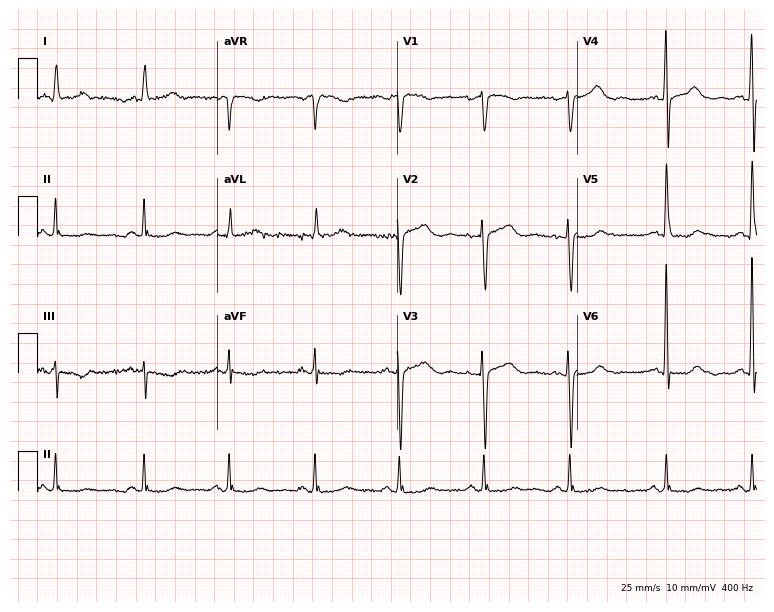
12-lead ECG from a 74-year-old woman. No first-degree AV block, right bundle branch block (RBBB), left bundle branch block (LBBB), sinus bradycardia, atrial fibrillation (AF) or sinus tachycardia recorded for this tracing. Other findings, if any, are not listed.